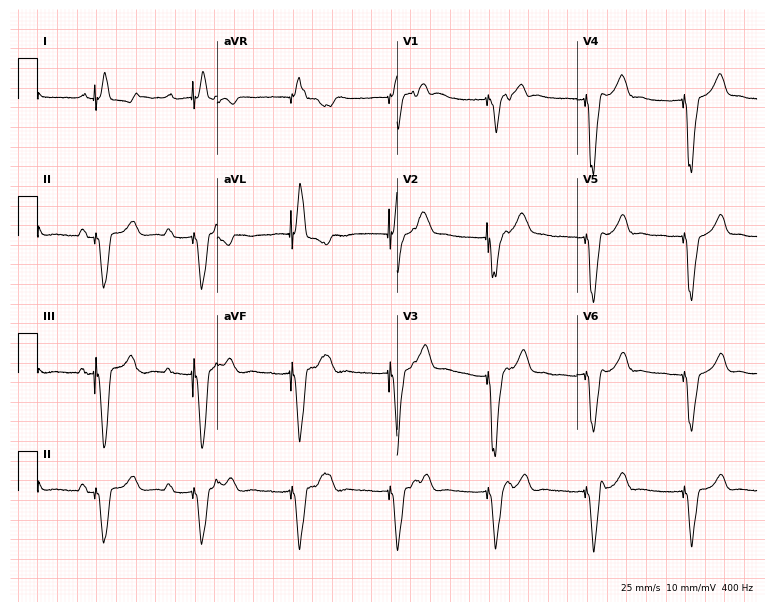
12-lead ECG (7.3-second recording at 400 Hz) from a male patient, 73 years old. Screened for six findings — first-degree AV block, right bundle branch block, left bundle branch block, sinus bradycardia, atrial fibrillation, sinus tachycardia — none is recorded. Other findings, if any, are not listed.